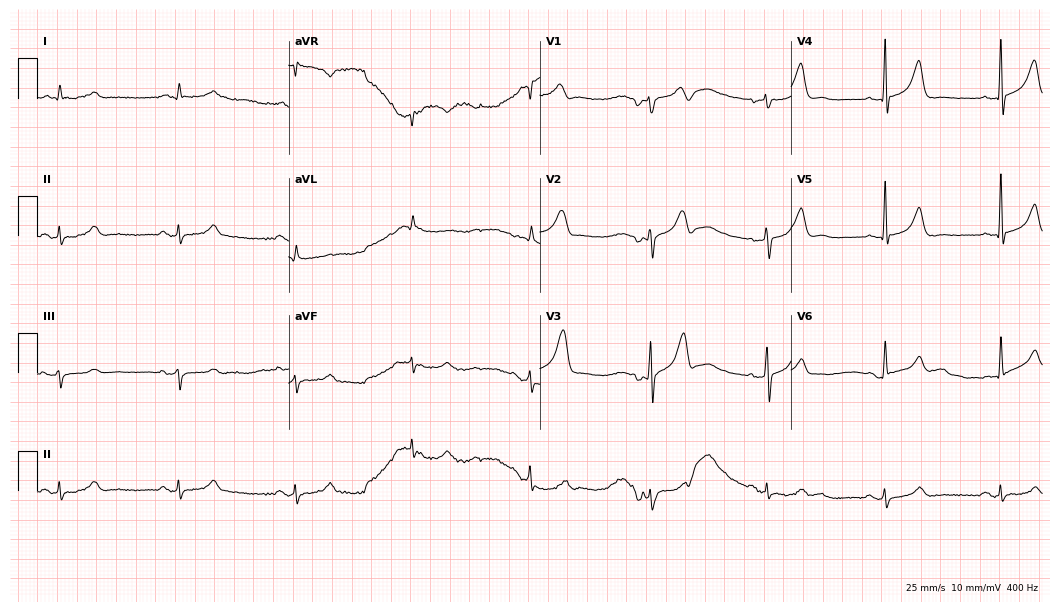
Resting 12-lead electrocardiogram (10.2-second recording at 400 Hz). Patient: a male, 74 years old. None of these six findings is recorded: first-degree AV block, right bundle branch block, left bundle branch block, sinus bradycardia, atrial fibrillation, sinus tachycardia. Findings outside these six are not listed.